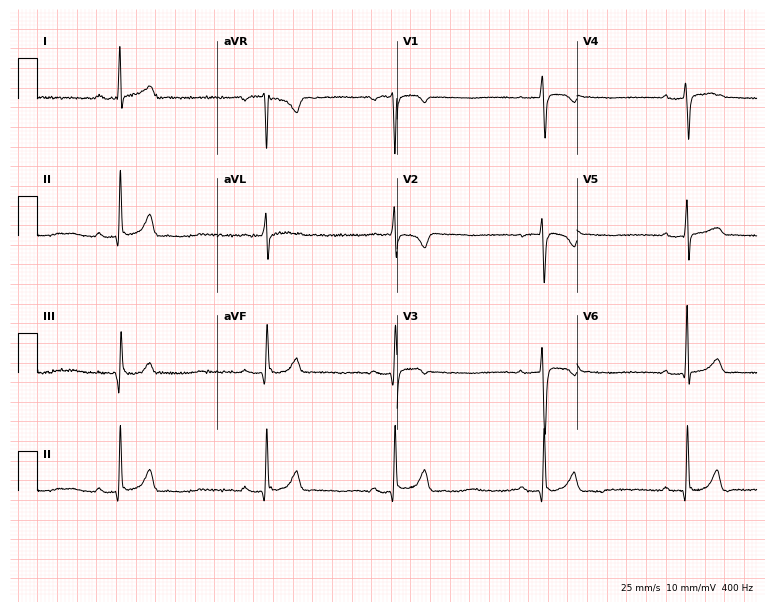
12-lead ECG from a male patient, 33 years old (7.3-second recording at 400 Hz). No first-degree AV block, right bundle branch block, left bundle branch block, sinus bradycardia, atrial fibrillation or sinus tachycardia recorded for this tracing.